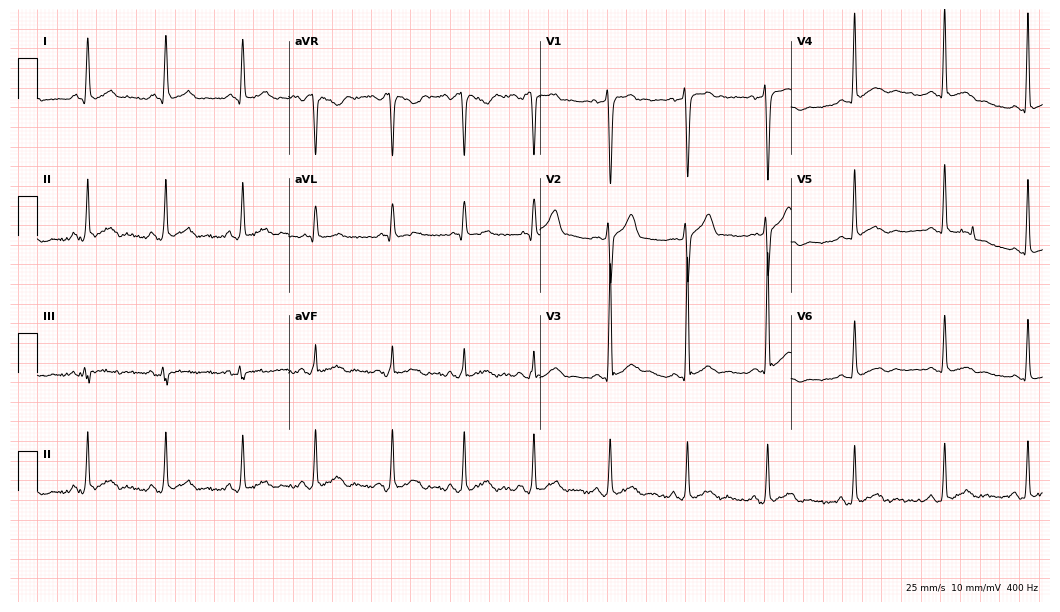
12-lead ECG from a male, 35 years old. Recorded interpretation: within normal limits.